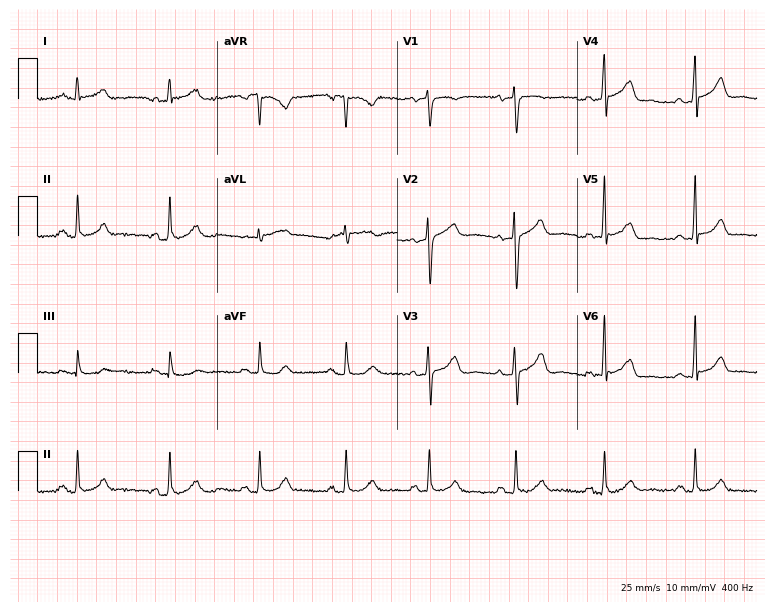
ECG — a 60-year-old woman. Labelled as a normal ECG.